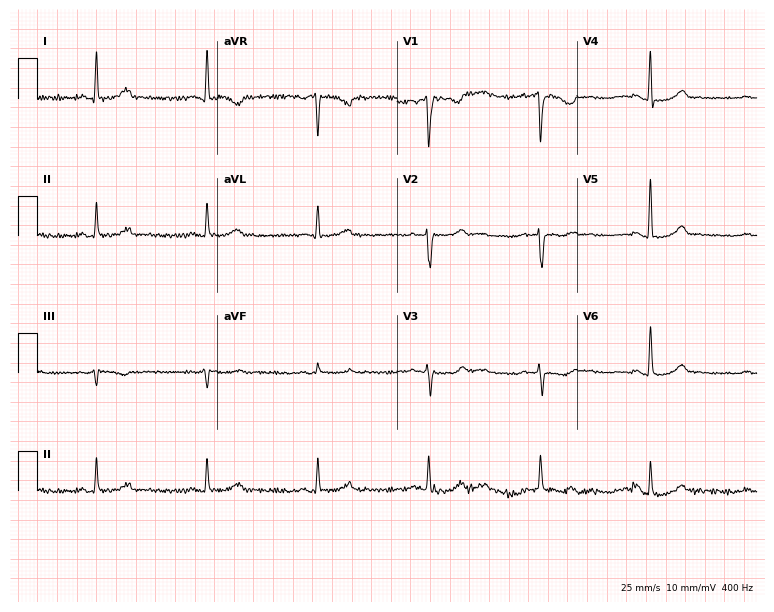
Electrocardiogram (7.3-second recording at 400 Hz), a 43-year-old female. Of the six screened findings (first-degree AV block, right bundle branch block, left bundle branch block, sinus bradycardia, atrial fibrillation, sinus tachycardia), none is recorded. Only these six findings were labelled.